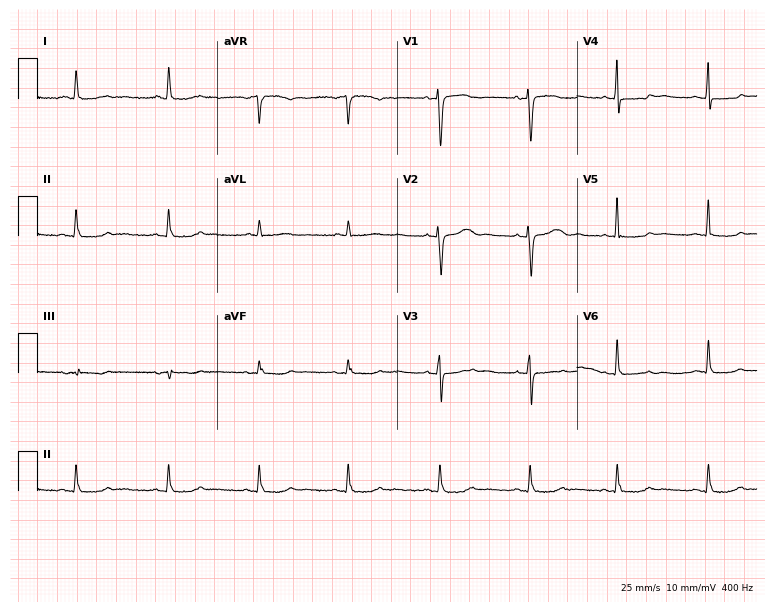
Electrocardiogram (7.3-second recording at 400 Hz), a 61-year-old woman. Of the six screened findings (first-degree AV block, right bundle branch block (RBBB), left bundle branch block (LBBB), sinus bradycardia, atrial fibrillation (AF), sinus tachycardia), none is recorded.